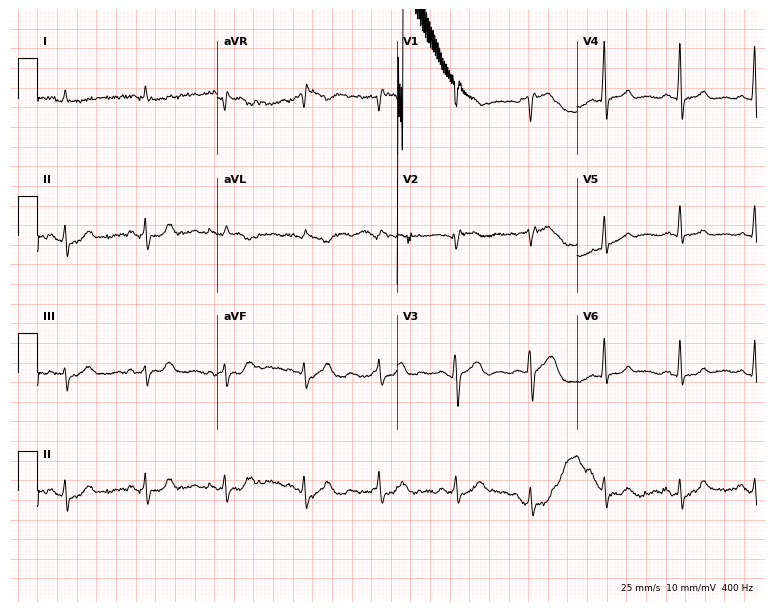
Resting 12-lead electrocardiogram (7.3-second recording at 400 Hz). Patient: a male, 56 years old. None of these six findings is recorded: first-degree AV block, right bundle branch block, left bundle branch block, sinus bradycardia, atrial fibrillation, sinus tachycardia.